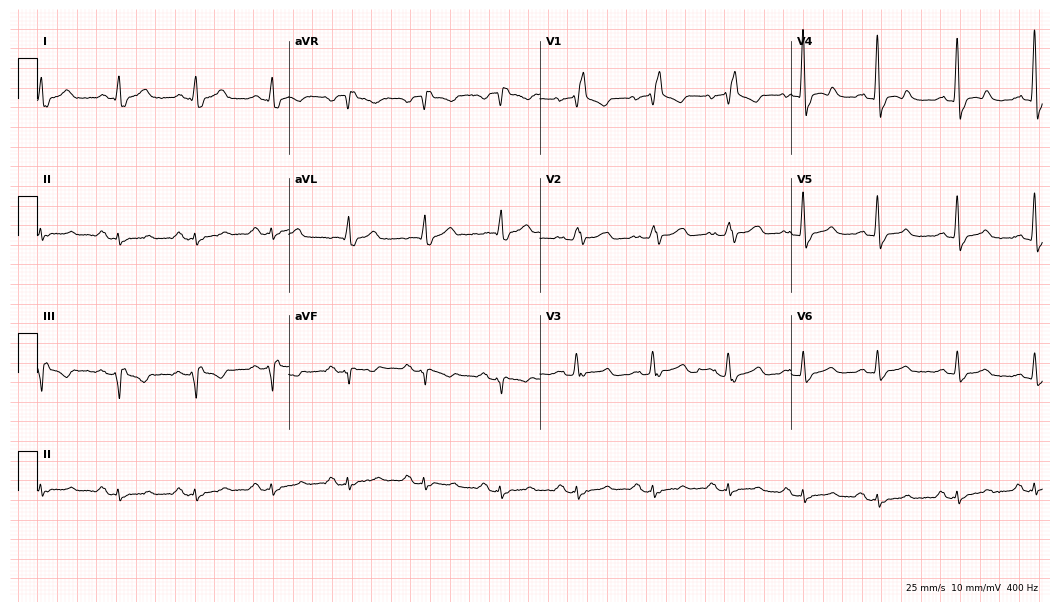
Standard 12-lead ECG recorded from a 73-year-old male patient. The tracing shows right bundle branch block.